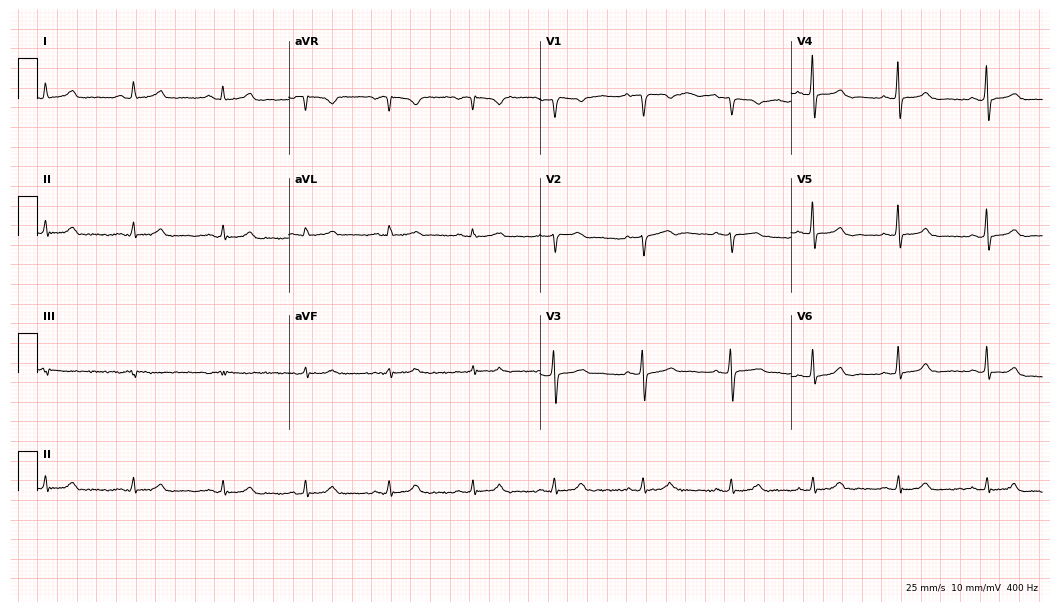
12-lead ECG from a man, 39 years old (10.2-second recording at 400 Hz). No first-degree AV block, right bundle branch block, left bundle branch block, sinus bradycardia, atrial fibrillation or sinus tachycardia recorded for this tracing. Only these six findings were labelled.